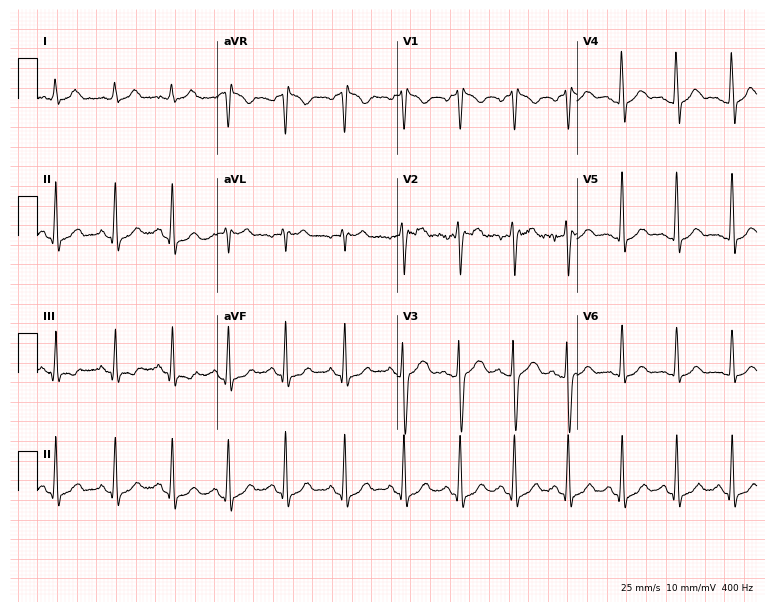
12-lead ECG from a 34-year-old male. Shows sinus tachycardia (a sinus rate of 100 beats per minute or more).